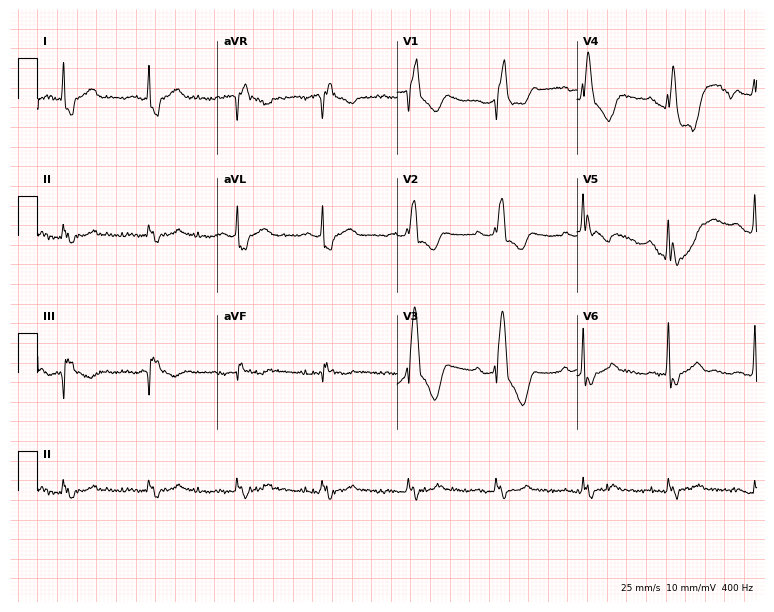
Resting 12-lead electrocardiogram (7.3-second recording at 400 Hz). Patient: a man, 61 years old. None of these six findings is recorded: first-degree AV block, right bundle branch block, left bundle branch block, sinus bradycardia, atrial fibrillation, sinus tachycardia. Findings outside these six are not listed.